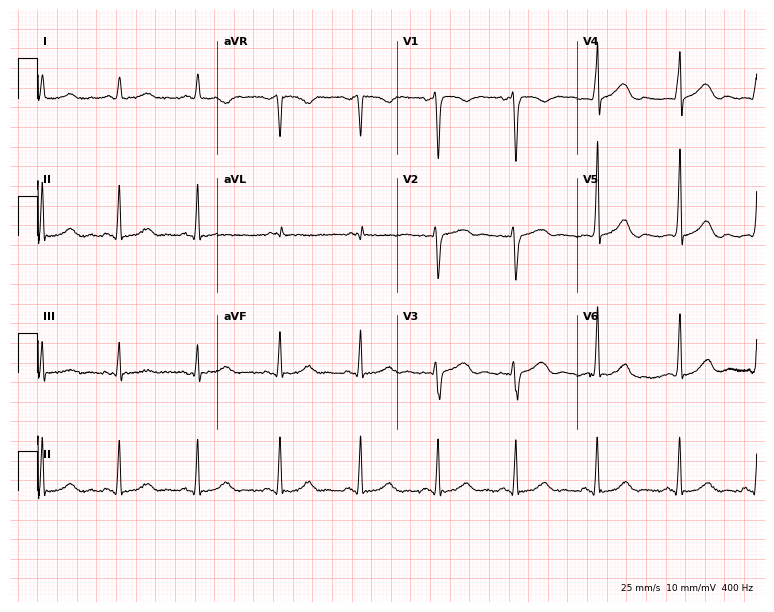
Resting 12-lead electrocardiogram (7.3-second recording at 400 Hz). Patient: a 42-year-old male. Read as a normal ECG.